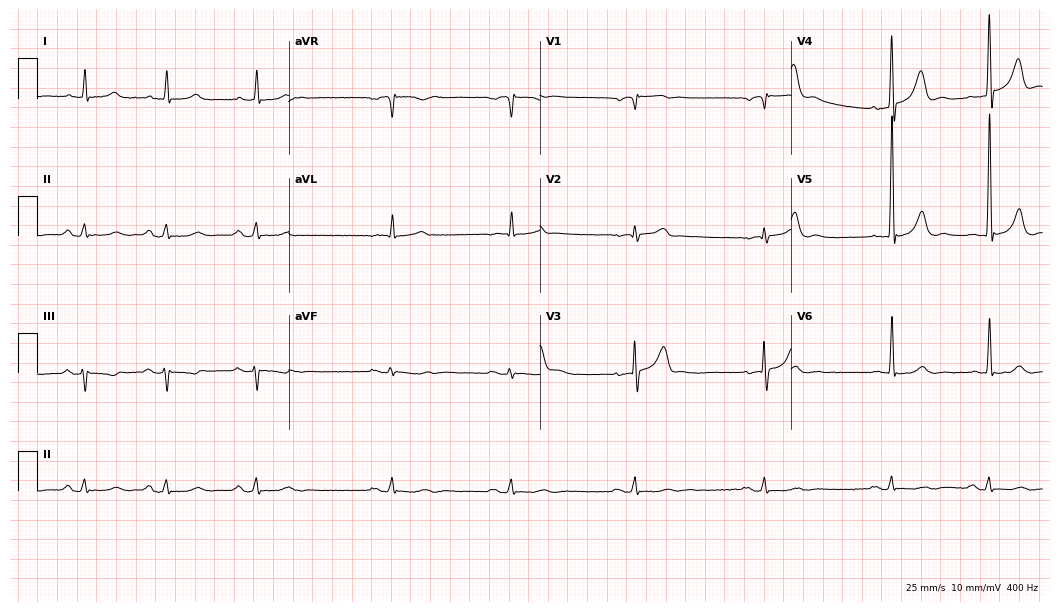
ECG — a male, 75 years old. Screened for six findings — first-degree AV block, right bundle branch block (RBBB), left bundle branch block (LBBB), sinus bradycardia, atrial fibrillation (AF), sinus tachycardia — none is recorded. Other findings, if any, are not listed.